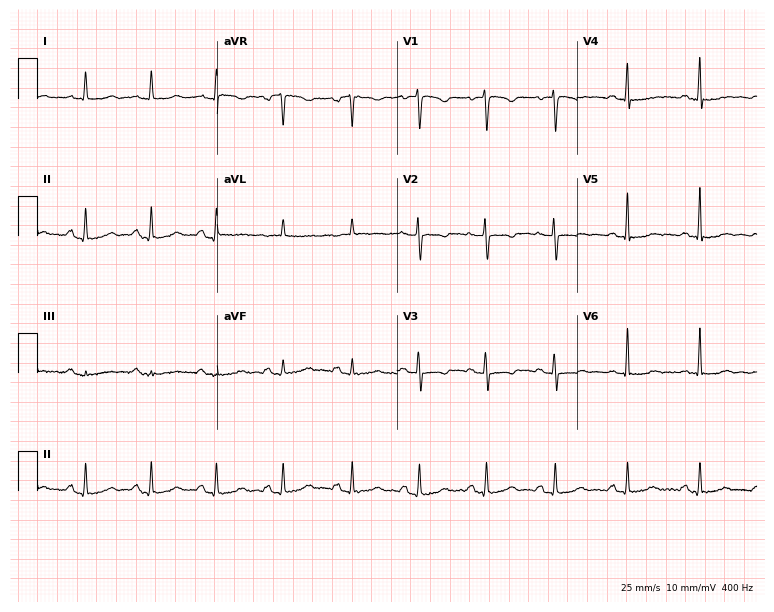
Resting 12-lead electrocardiogram (7.3-second recording at 400 Hz). Patient: a 42-year-old woman. None of these six findings is recorded: first-degree AV block, right bundle branch block, left bundle branch block, sinus bradycardia, atrial fibrillation, sinus tachycardia. Only these six findings were labelled.